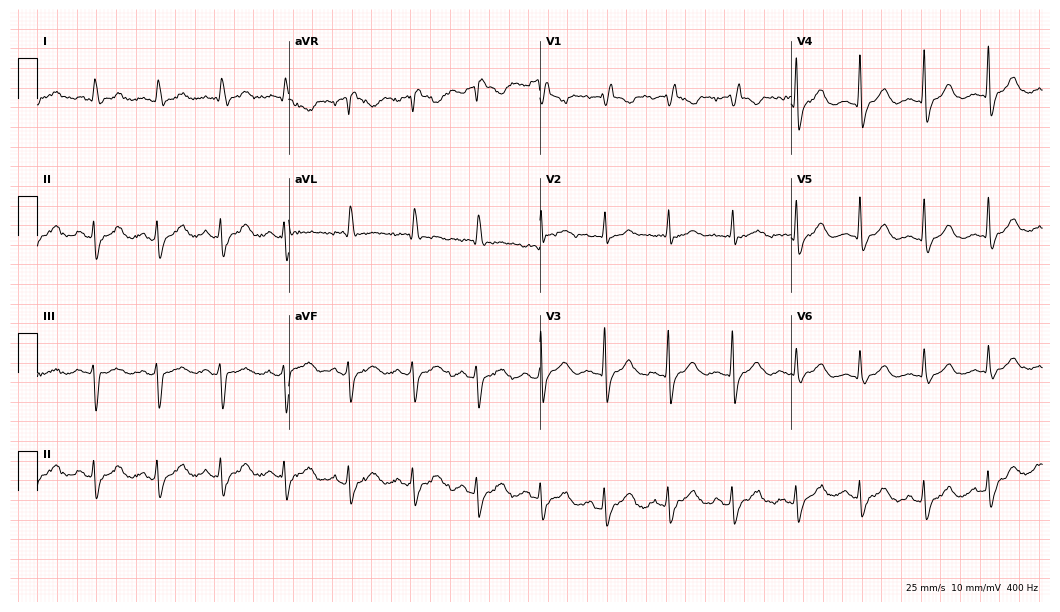
ECG (10.2-second recording at 400 Hz) — a female patient, 81 years old. Findings include right bundle branch block.